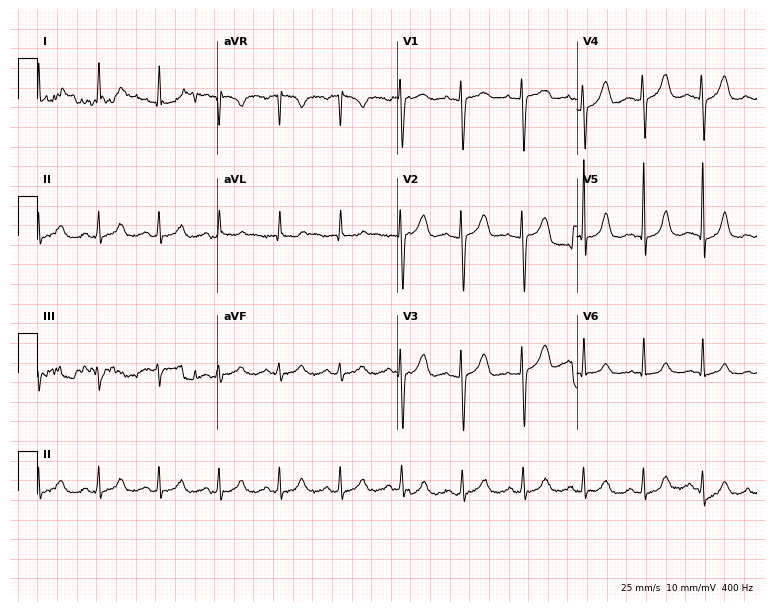
12-lead ECG (7.3-second recording at 400 Hz) from a woman, 29 years old. Labelled as a normal ECG.